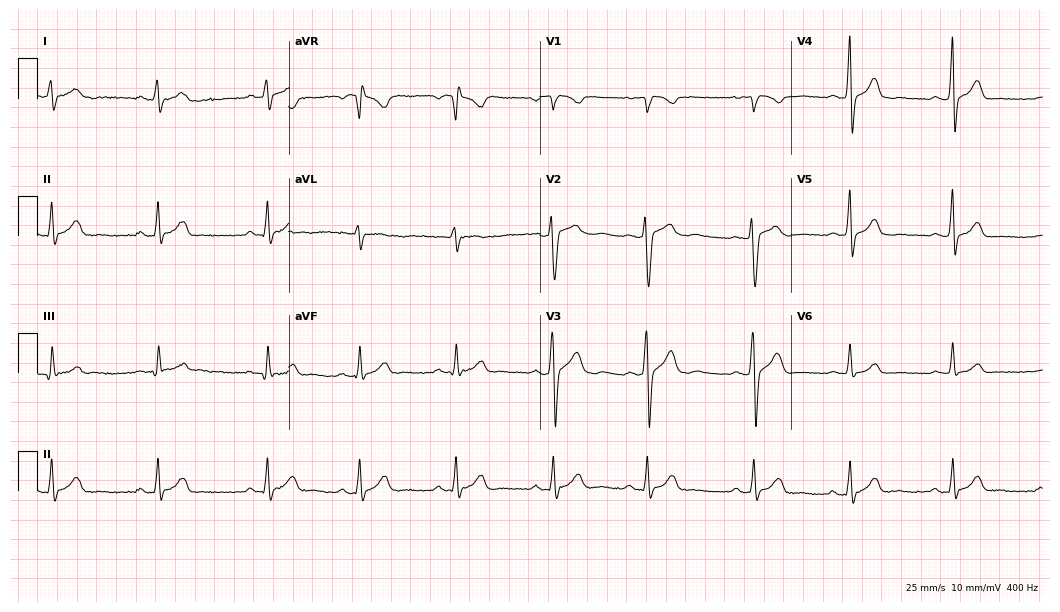
Standard 12-lead ECG recorded from a female patient, 22 years old (10.2-second recording at 400 Hz). None of these six findings is recorded: first-degree AV block, right bundle branch block, left bundle branch block, sinus bradycardia, atrial fibrillation, sinus tachycardia. Other findings, if any, are not listed.